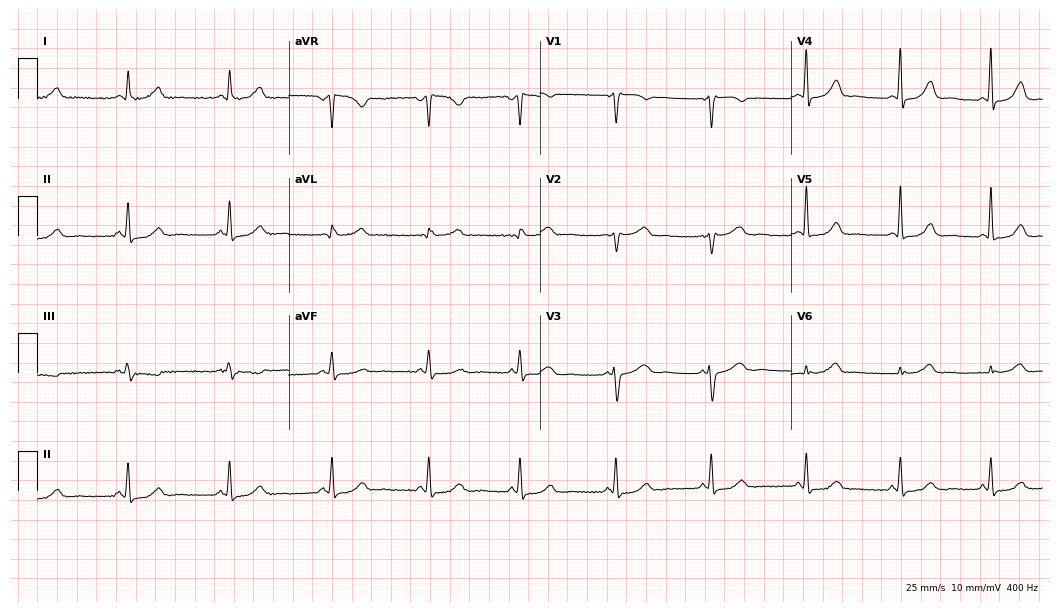
ECG (10.2-second recording at 400 Hz) — a female, 63 years old. Screened for six findings — first-degree AV block, right bundle branch block (RBBB), left bundle branch block (LBBB), sinus bradycardia, atrial fibrillation (AF), sinus tachycardia — none is recorded.